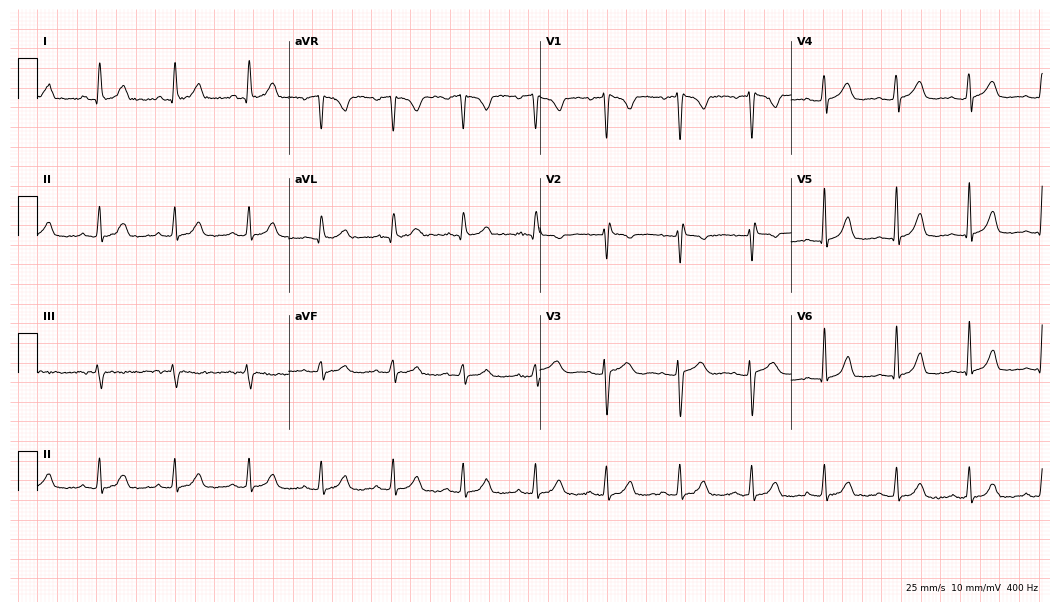
12-lead ECG from a 43-year-old female. Screened for six findings — first-degree AV block, right bundle branch block, left bundle branch block, sinus bradycardia, atrial fibrillation, sinus tachycardia — none is recorded. Findings outside these six are not listed.